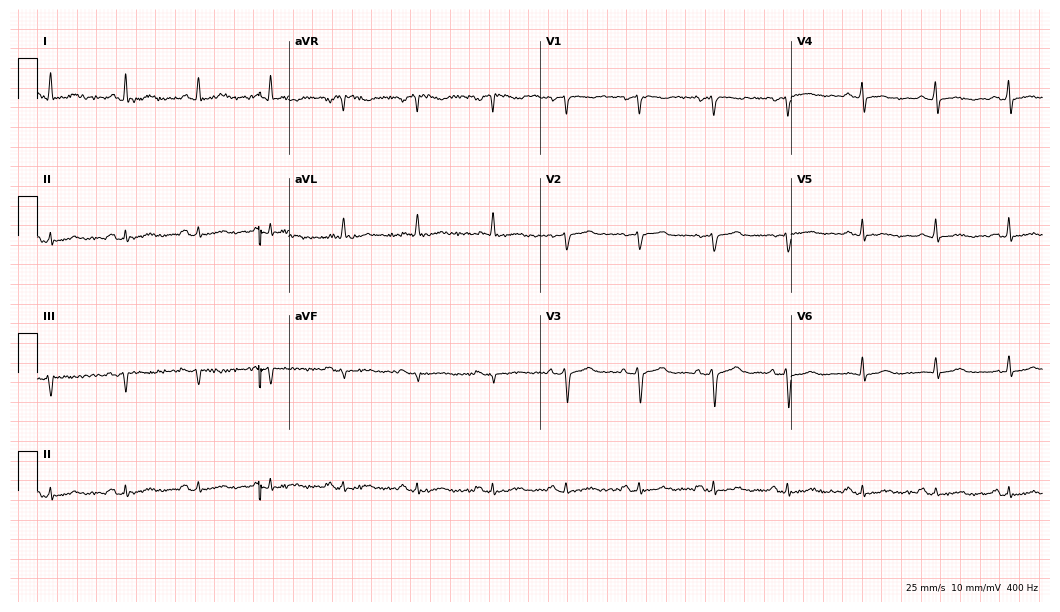
12-lead ECG from a 57-year-old female patient. Labelled as a normal ECG.